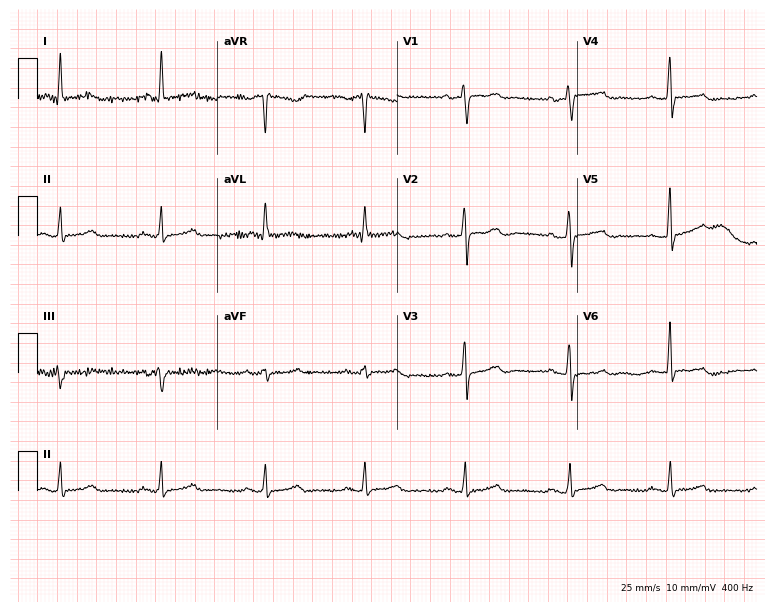
ECG — a female patient, 65 years old. Labelled as a normal ECG.